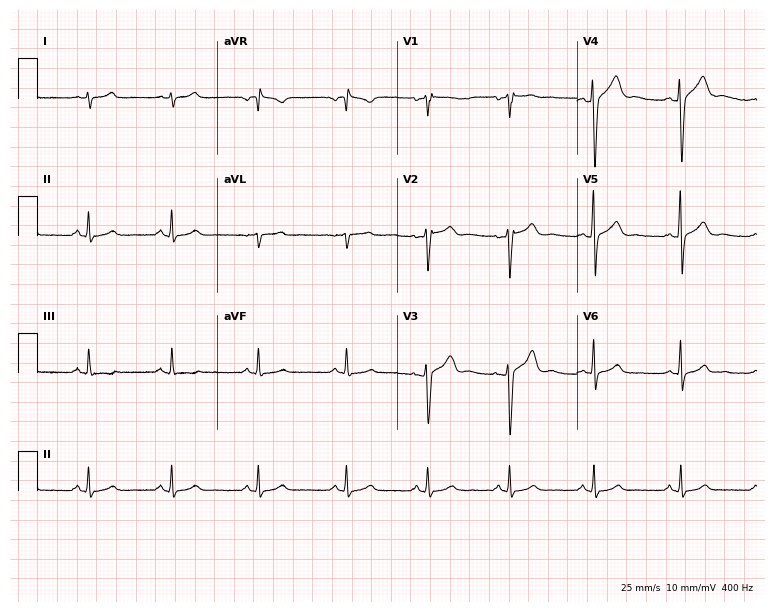
12-lead ECG from a 24-year-old male. Screened for six findings — first-degree AV block, right bundle branch block, left bundle branch block, sinus bradycardia, atrial fibrillation, sinus tachycardia — none is recorded. Only these six findings were labelled.